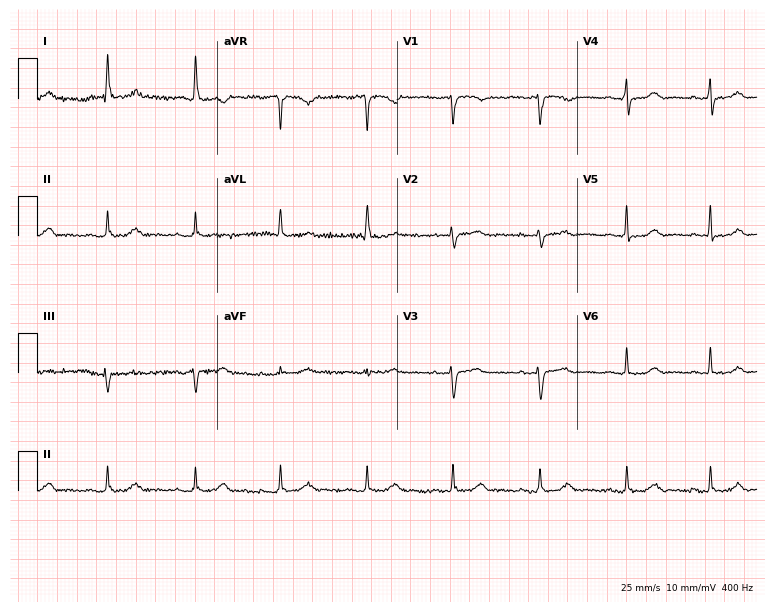
Resting 12-lead electrocardiogram. Patient: a 71-year-old female. Read as a normal ECG.